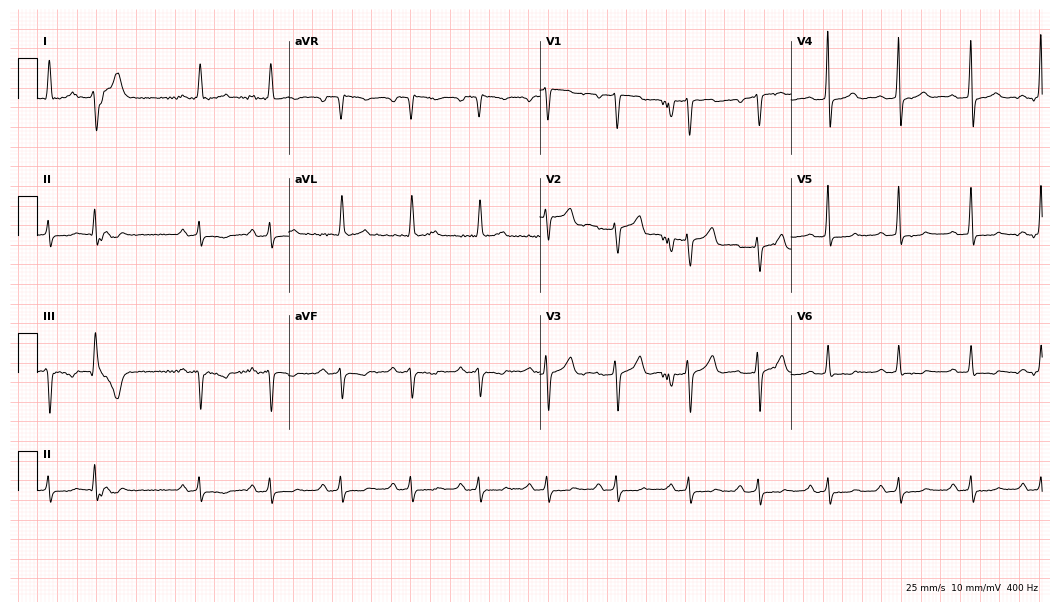
12-lead ECG from a female patient, 64 years old. Screened for six findings — first-degree AV block, right bundle branch block, left bundle branch block, sinus bradycardia, atrial fibrillation, sinus tachycardia — none is recorded. Only these six findings were labelled.